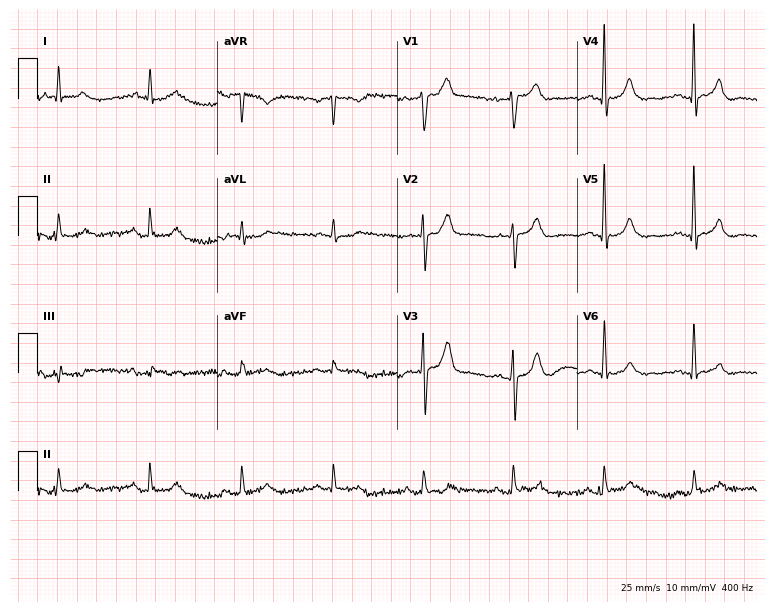
Standard 12-lead ECG recorded from a male patient, 81 years old. Read as a normal ECG.